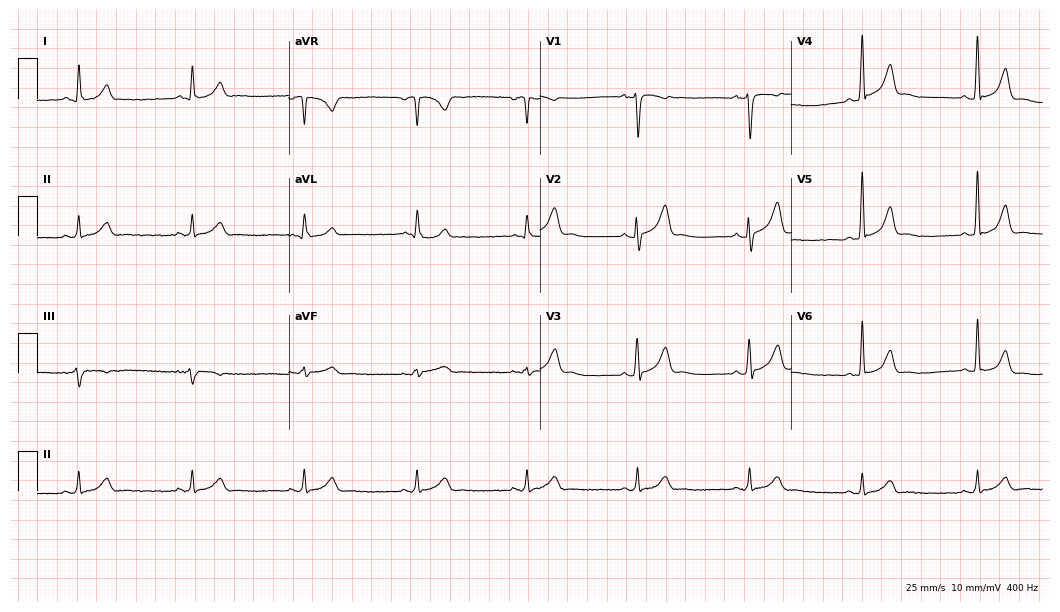
12-lead ECG from a male patient, 46 years old. Labelled as a normal ECG.